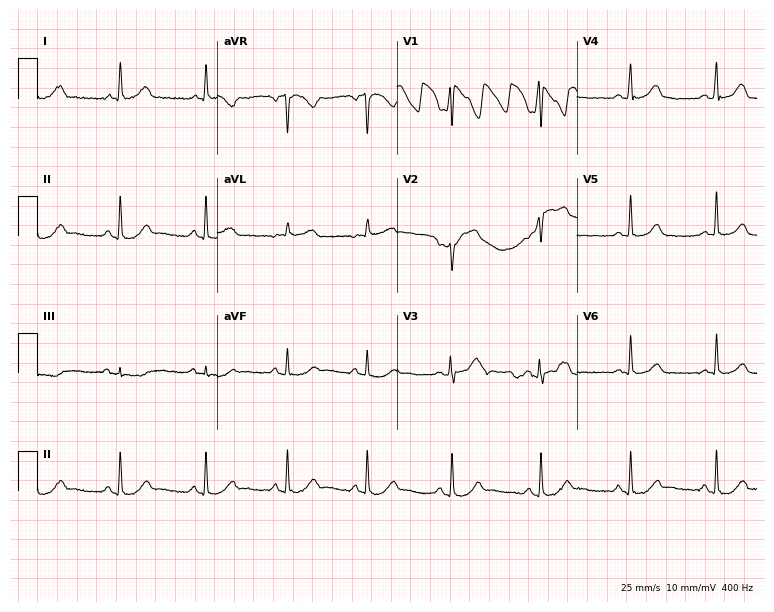
Standard 12-lead ECG recorded from a 54-year-old male (7.3-second recording at 400 Hz). None of these six findings is recorded: first-degree AV block, right bundle branch block (RBBB), left bundle branch block (LBBB), sinus bradycardia, atrial fibrillation (AF), sinus tachycardia.